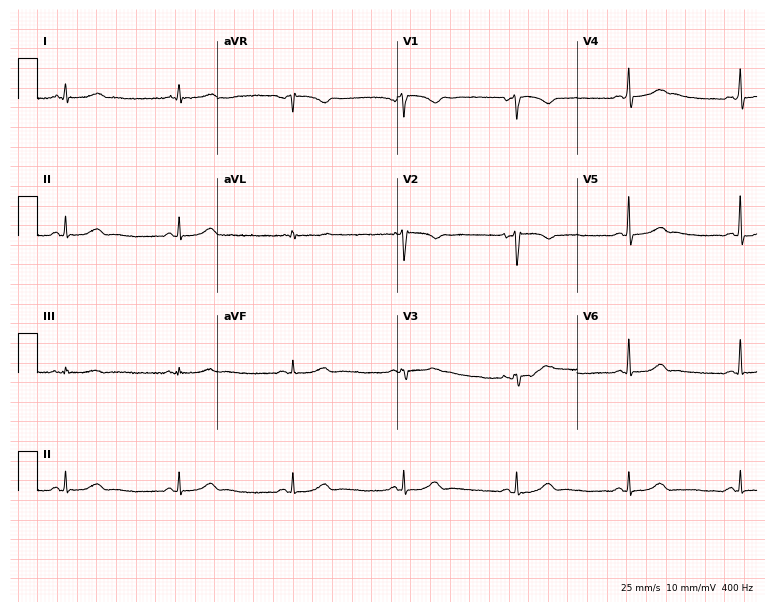
ECG (7.3-second recording at 400 Hz) — a male patient, 42 years old. Screened for six findings — first-degree AV block, right bundle branch block (RBBB), left bundle branch block (LBBB), sinus bradycardia, atrial fibrillation (AF), sinus tachycardia — none is recorded.